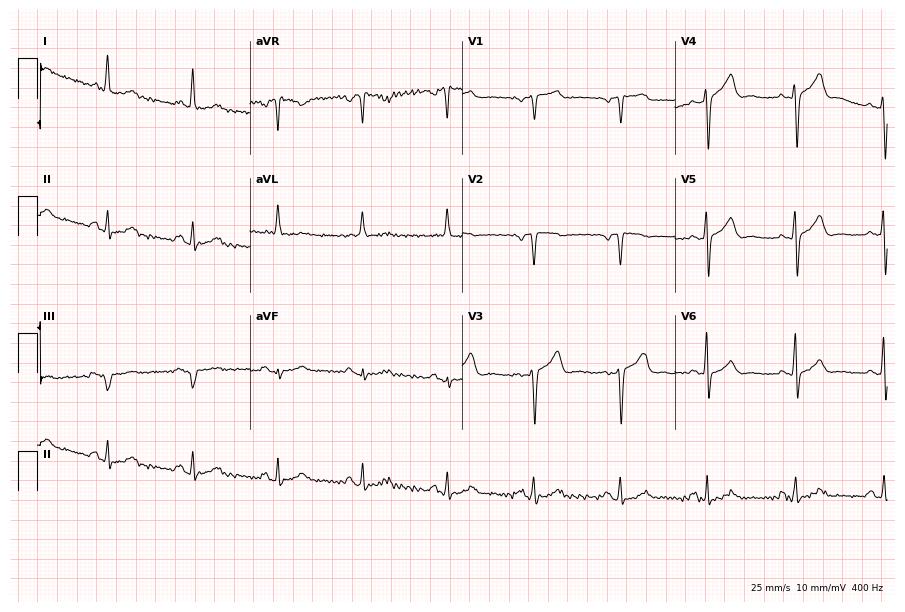
Standard 12-lead ECG recorded from a 65-year-old man. Read as a normal ECG.